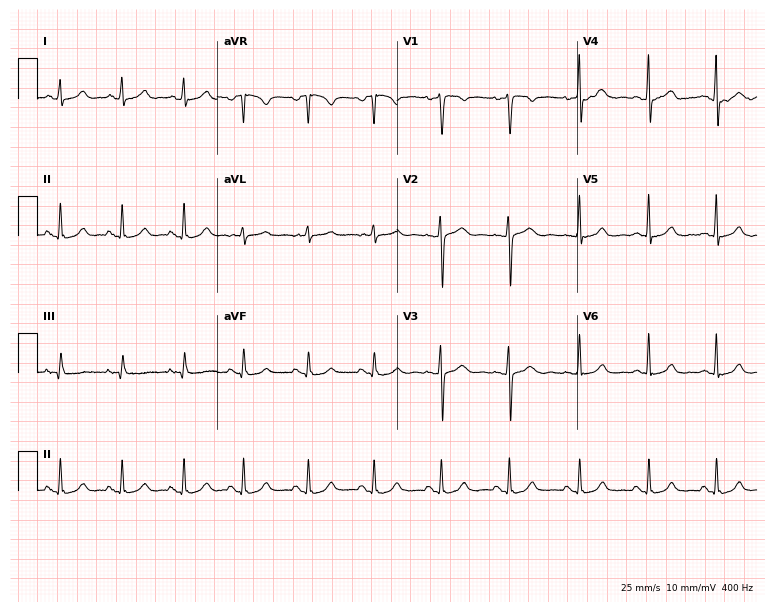
12-lead ECG (7.3-second recording at 400 Hz) from a 41-year-old female patient. Labelled as a normal ECG.